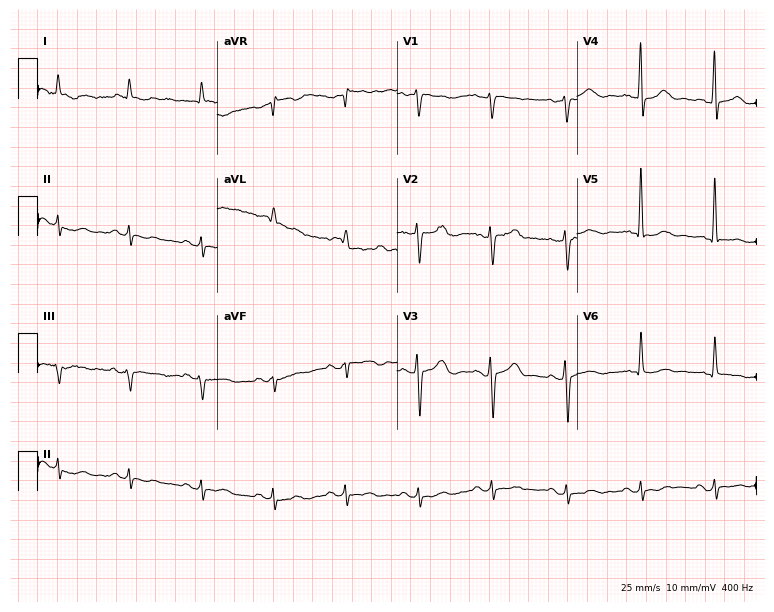
Electrocardiogram (7.3-second recording at 400 Hz), an 84-year-old male. Of the six screened findings (first-degree AV block, right bundle branch block (RBBB), left bundle branch block (LBBB), sinus bradycardia, atrial fibrillation (AF), sinus tachycardia), none is recorded.